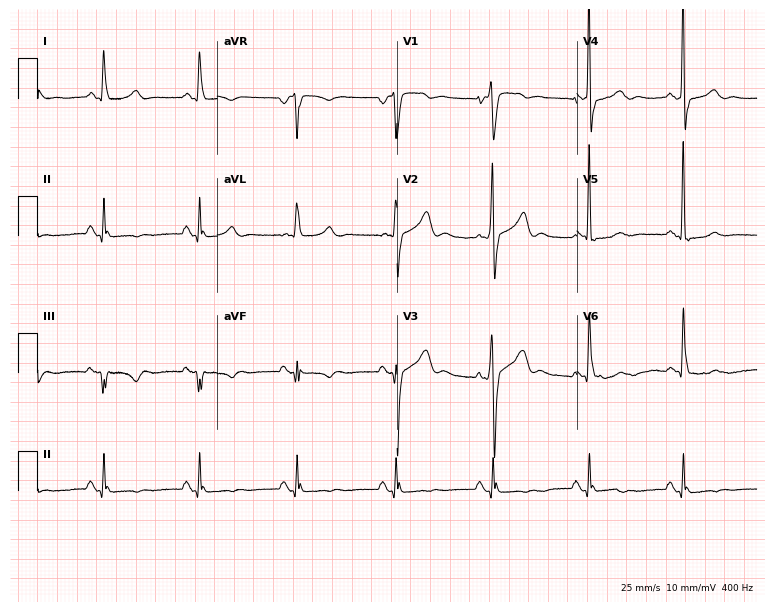
12-lead ECG from a male, 65 years old. No first-degree AV block, right bundle branch block, left bundle branch block, sinus bradycardia, atrial fibrillation or sinus tachycardia recorded for this tracing.